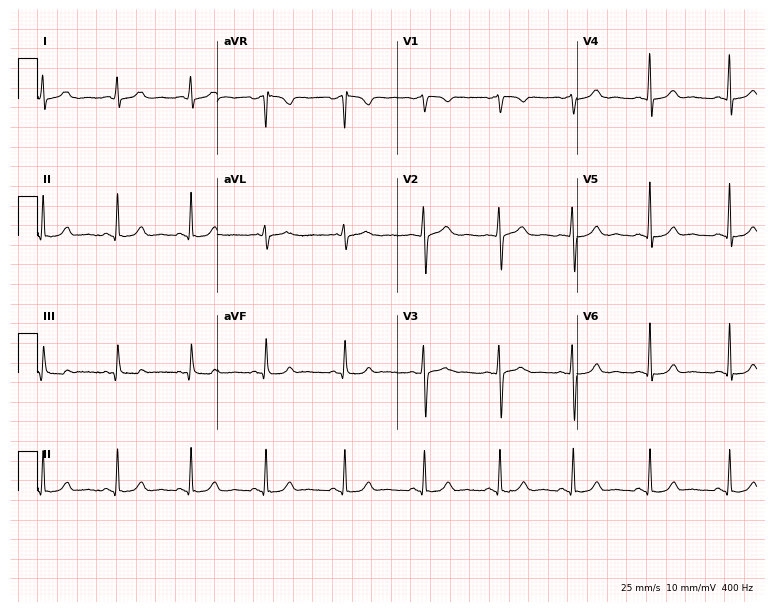
ECG (7.3-second recording at 400 Hz) — a 34-year-old female. Labelled as a normal ECG.